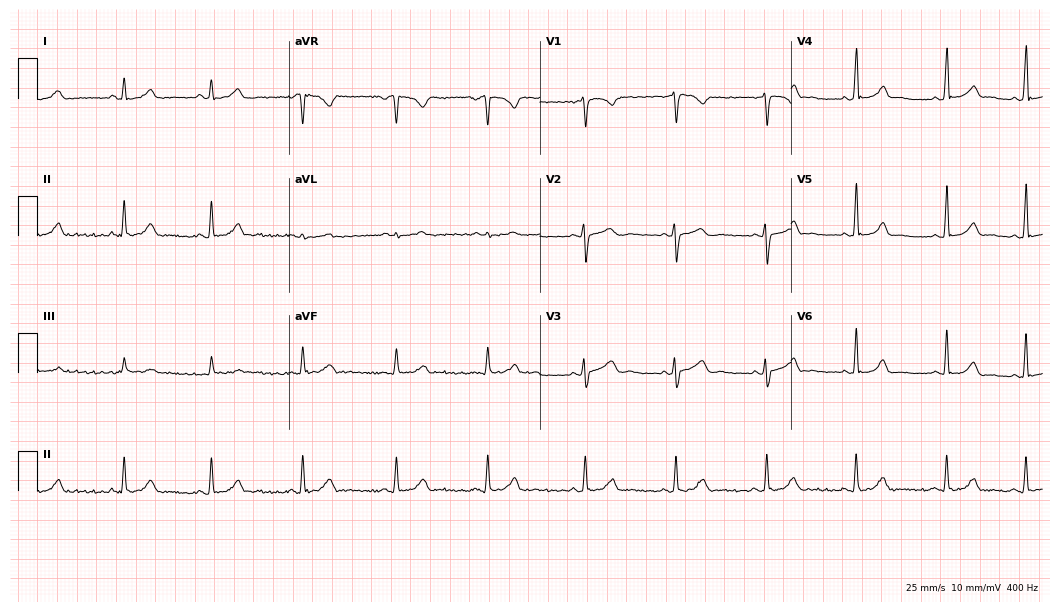
ECG — a female patient, 29 years old. Labelled as a normal ECG.